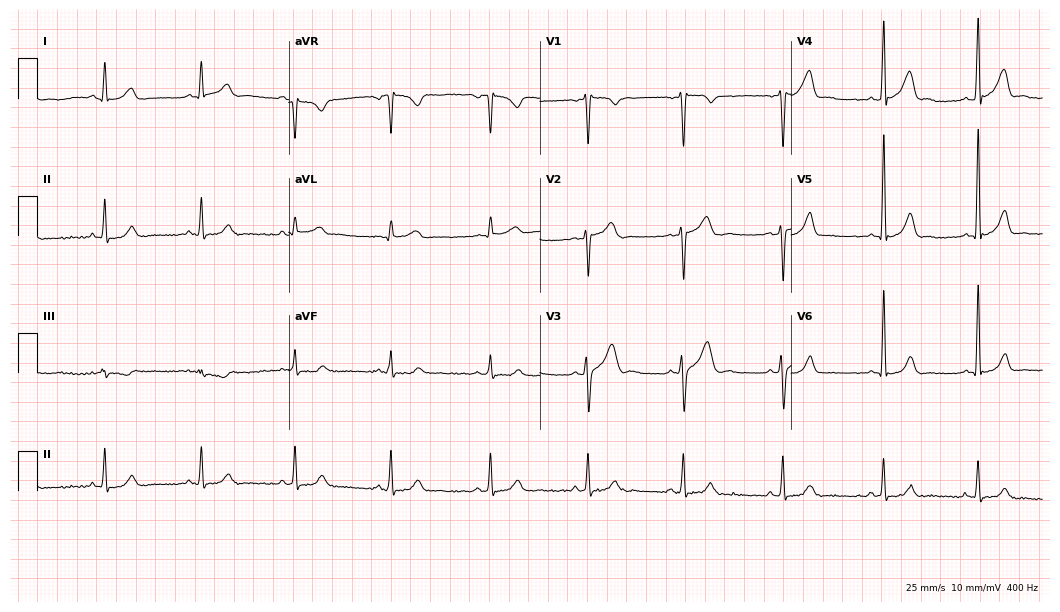
Resting 12-lead electrocardiogram. Patient: a male, 30 years old. Read as a normal ECG.